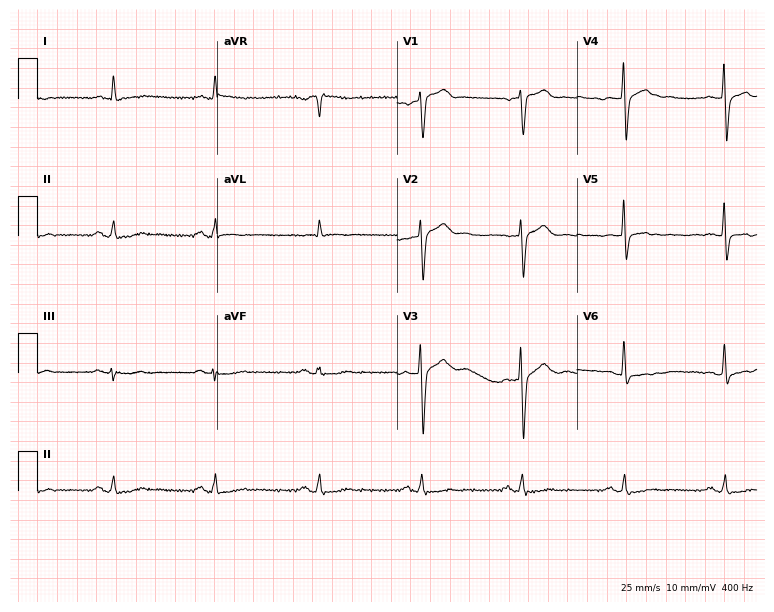
12-lead ECG from a 73-year-old man. Screened for six findings — first-degree AV block, right bundle branch block, left bundle branch block, sinus bradycardia, atrial fibrillation, sinus tachycardia — none is recorded. Other findings, if any, are not listed.